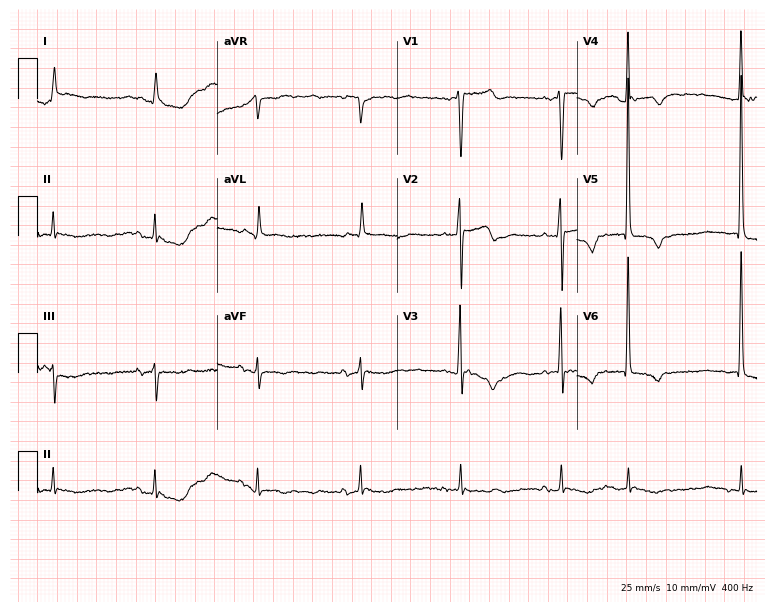
12-lead ECG from an 84-year-old male (7.3-second recording at 400 Hz). No first-degree AV block, right bundle branch block, left bundle branch block, sinus bradycardia, atrial fibrillation or sinus tachycardia recorded for this tracing. Only these six findings were labelled.